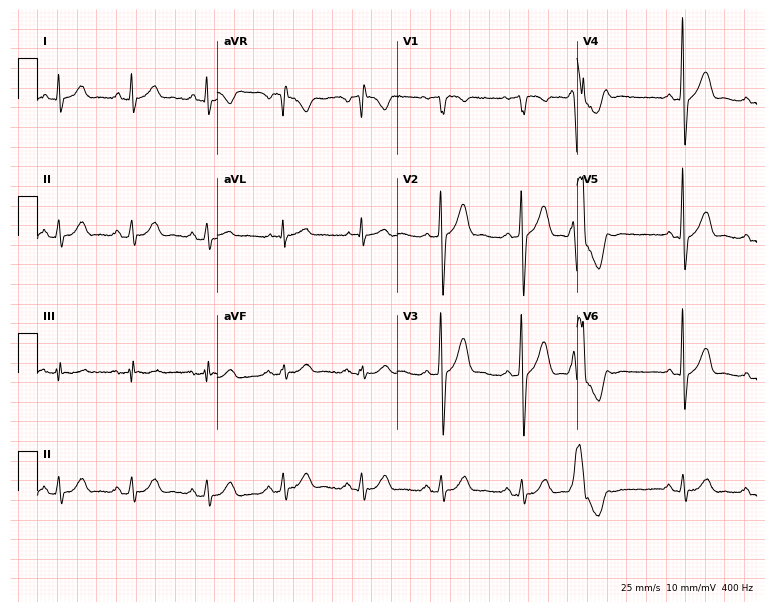
12-lead ECG (7.3-second recording at 400 Hz) from a 52-year-old male. Labelled as a normal ECG.